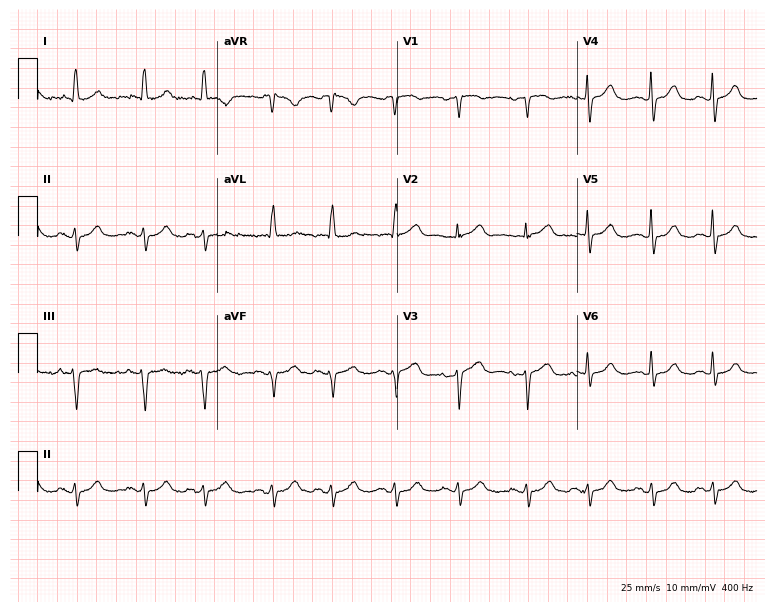
ECG — a woman, 81 years old. Screened for six findings — first-degree AV block, right bundle branch block (RBBB), left bundle branch block (LBBB), sinus bradycardia, atrial fibrillation (AF), sinus tachycardia — none is recorded.